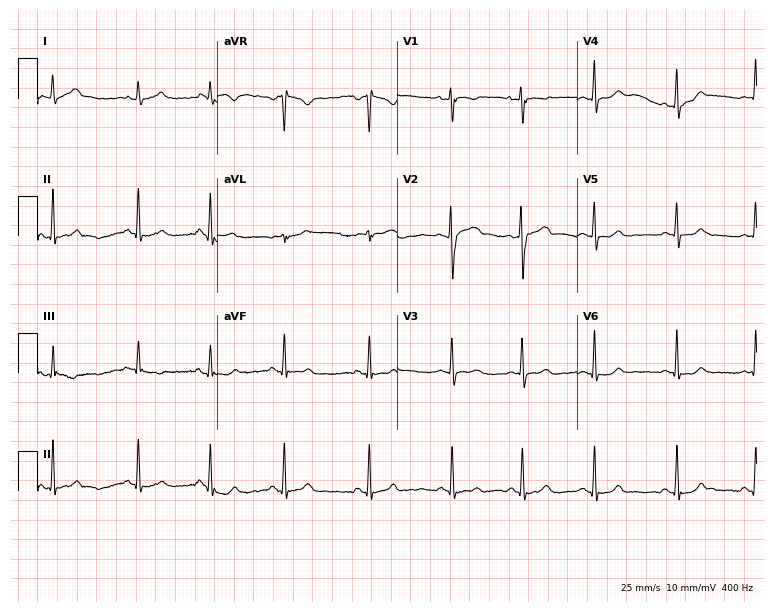
Electrocardiogram, a female, 23 years old. Of the six screened findings (first-degree AV block, right bundle branch block (RBBB), left bundle branch block (LBBB), sinus bradycardia, atrial fibrillation (AF), sinus tachycardia), none is recorded. Findings outside these six are not listed.